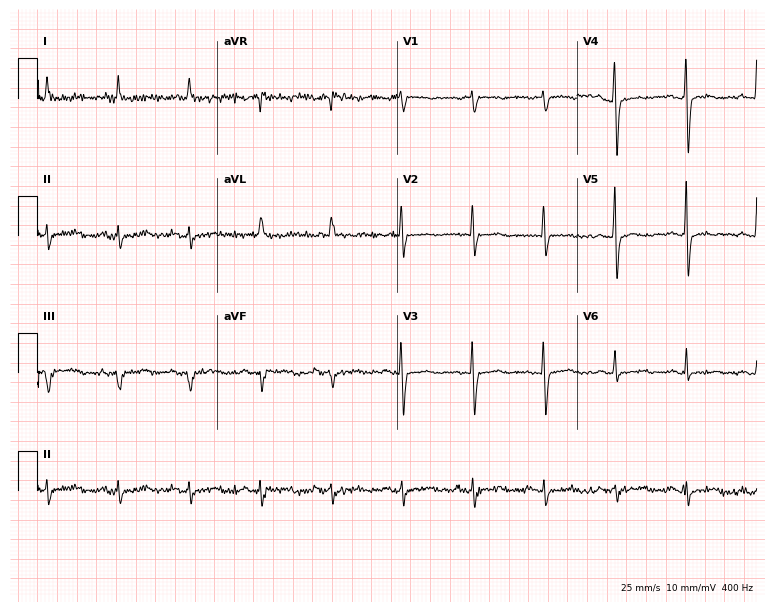
Resting 12-lead electrocardiogram (7.3-second recording at 400 Hz). Patient: a woman, 75 years old. None of these six findings is recorded: first-degree AV block, right bundle branch block (RBBB), left bundle branch block (LBBB), sinus bradycardia, atrial fibrillation (AF), sinus tachycardia. Other findings, if any, are not listed.